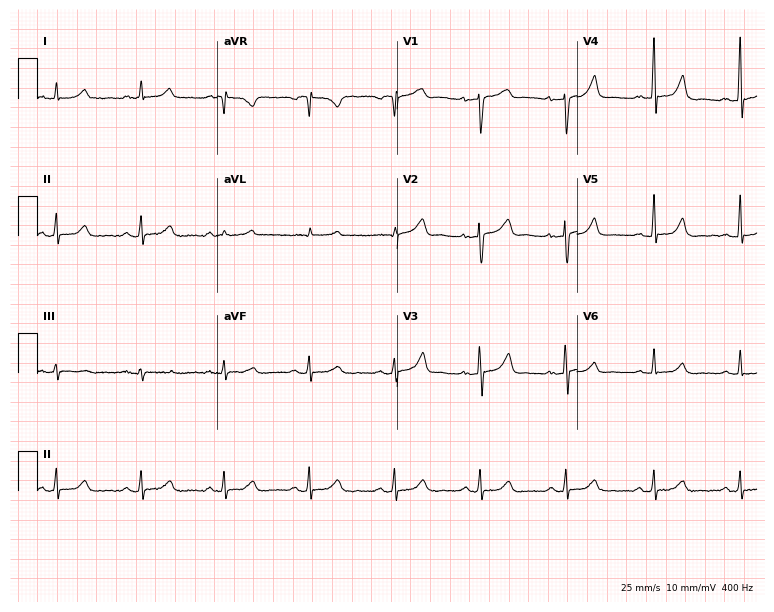
12-lead ECG from a woman, 54 years old. No first-degree AV block, right bundle branch block, left bundle branch block, sinus bradycardia, atrial fibrillation or sinus tachycardia recorded for this tracing.